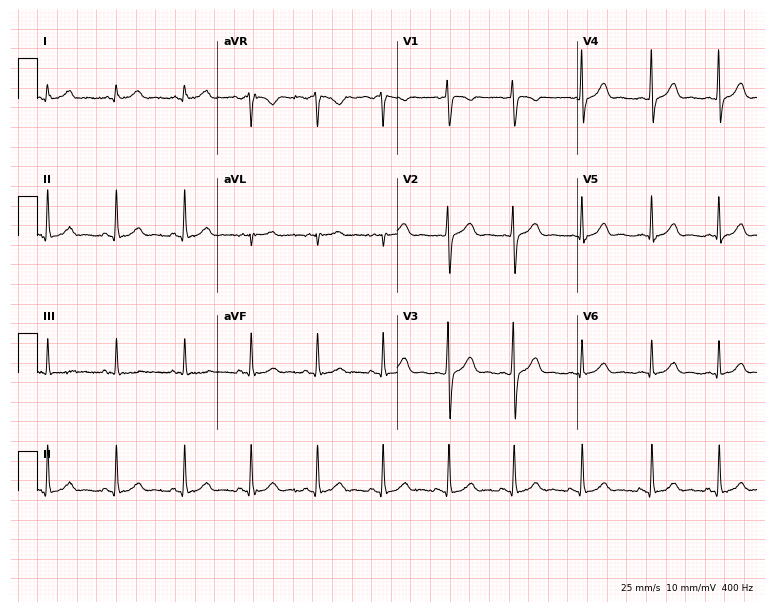
Electrocardiogram, a female patient, 20 years old. Overall reading on record: normal ECG.